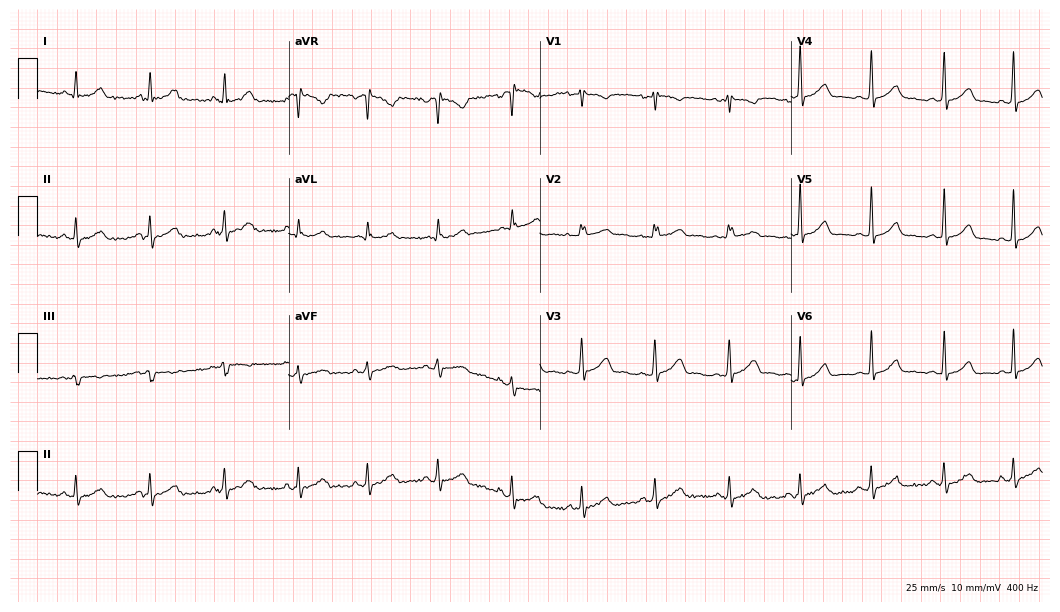
12-lead ECG (10.2-second recording at 400 Hz) from a woman, 31 years old. Labelled as a normal ECG.